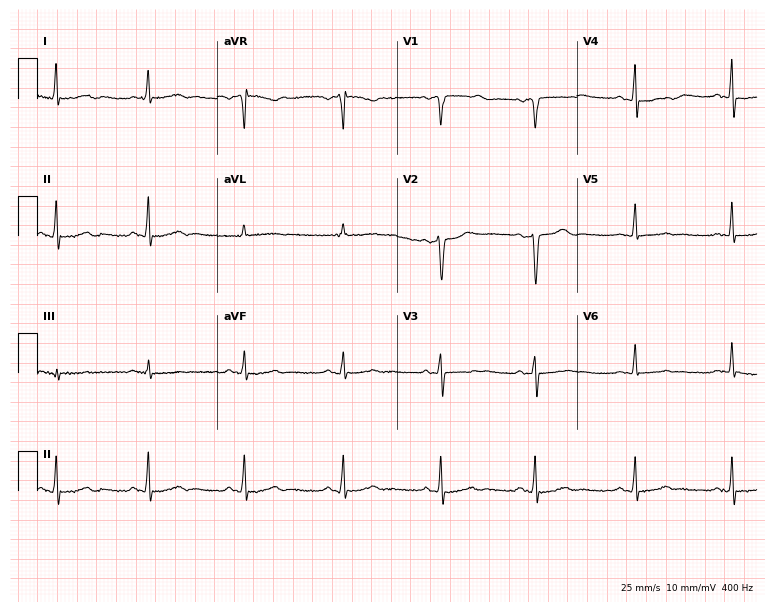
ECG — a female, 65 years old. Screened for six findings — first-degree AV block, right bundle branch block, left bundle branch block, sinus bradycardia, atrial fibrillation, sinus tachycardia — none is recorded. Other findings, if any, are not listed.